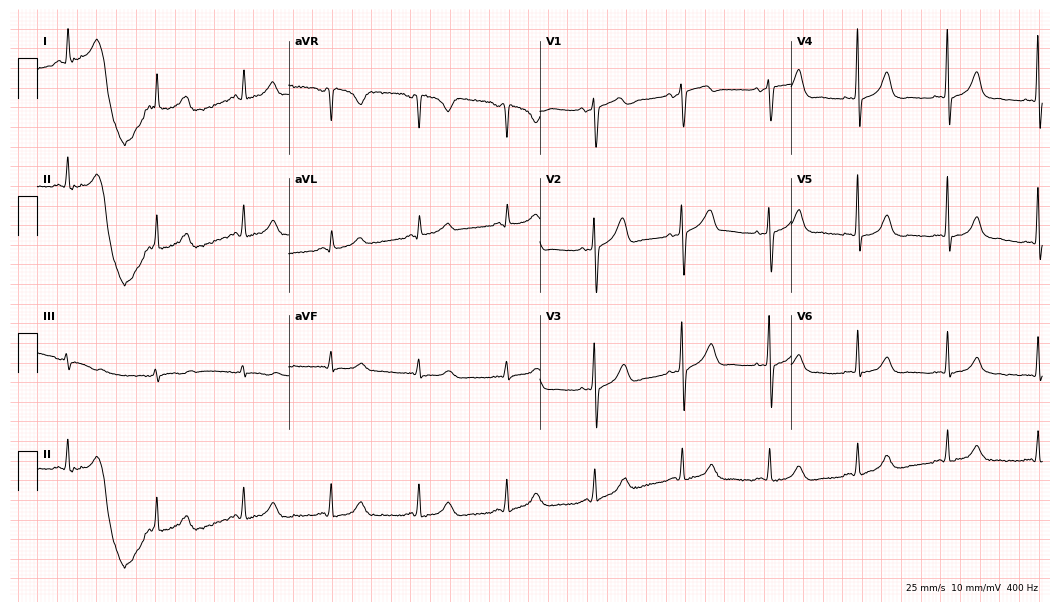
12-lead ECG from a female, 61 years old. Recorded interpretation: within normal limits.